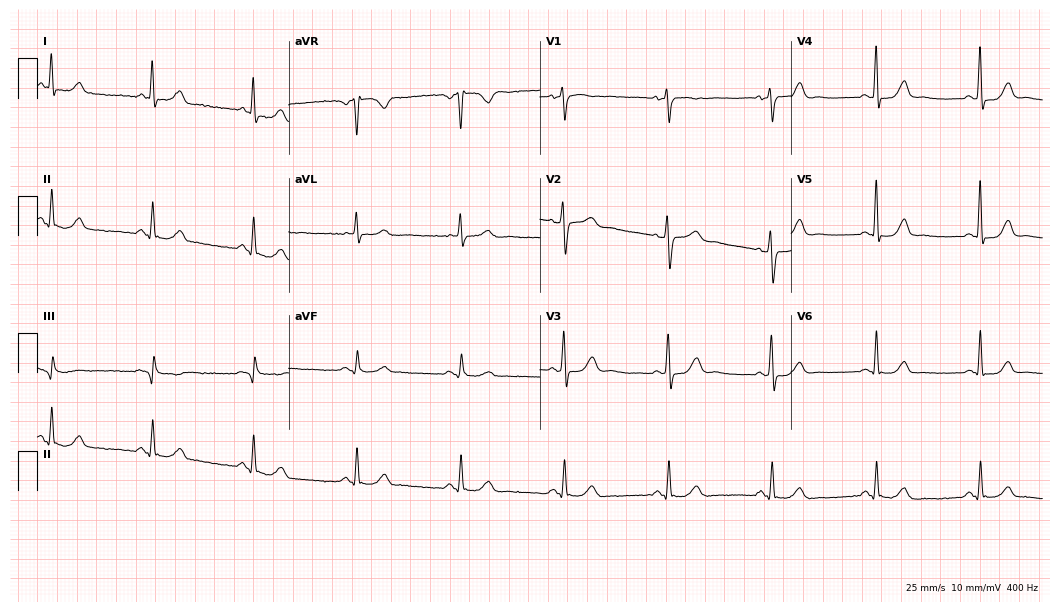
Standard 12-lead ECG recorded from a 67-year-old female (10.2-second recording at 400 Hz). Read as a normal ECG.